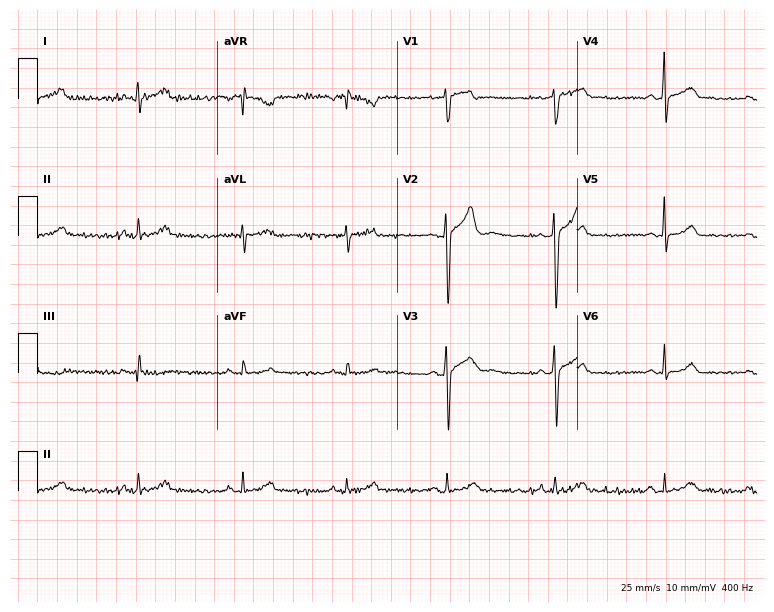
Resting 12-lead electrocardiogram. Patient: a 26-year-old male. None of these six findings is recorded: first-degree AV block, right bundle branch block, left bundle branch block, sinus bradycardia, atrial fibrillation, sinus tachycardia.